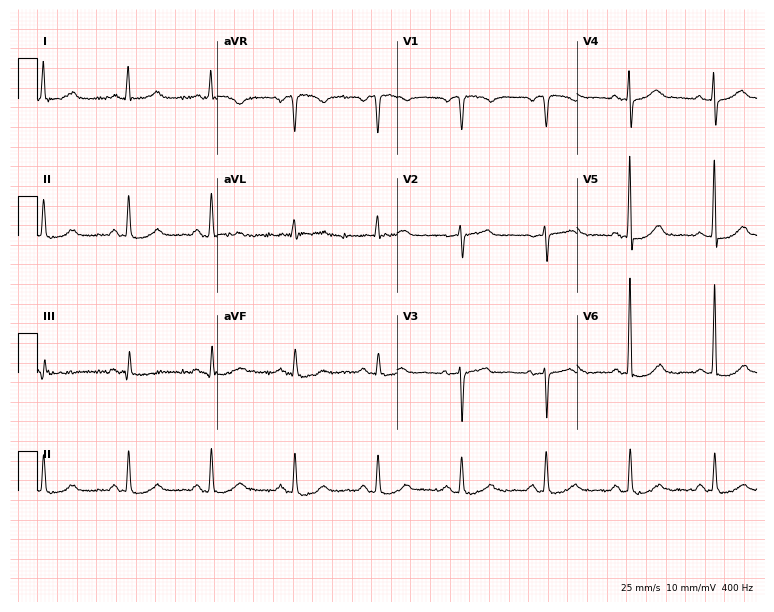
Electrocardiogram (7.3-second recording at 400 Hz), a 79-year-old female. Of the six screened findings (first-degree AV block, right bundle branch block (RBBB), left bundle branch block (LBBB), sinus bradycardia, atrial fibrillation (AF), sinus tachycardia), none is recorded. Findings outside these six are not listed.